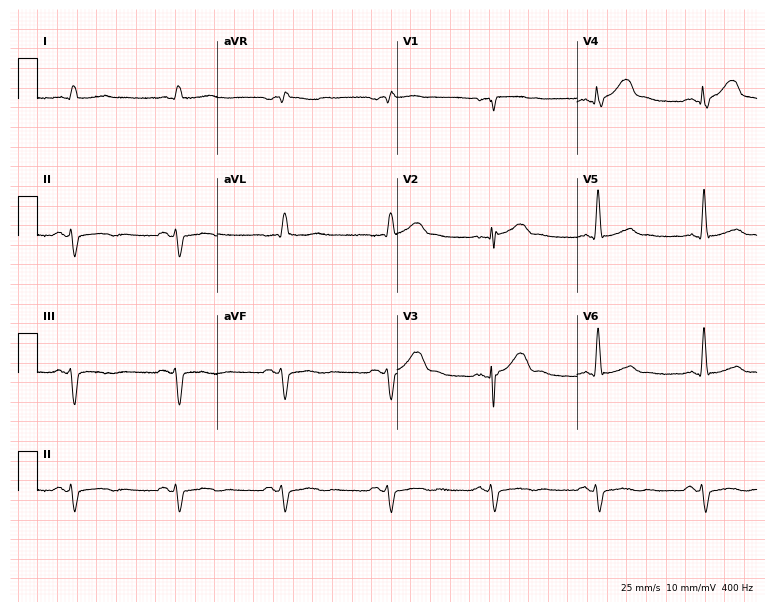
12-lead ECG (7.3-second recording at 400 Hz) from a man, 61 years old. Screened for six findings — first-degree AV block, right bundle branch block, left bundle branch block, sinus bradycardia, atrial fibrillation, sinus tachycardia — none is recorded. Findings outside these six are not listed.